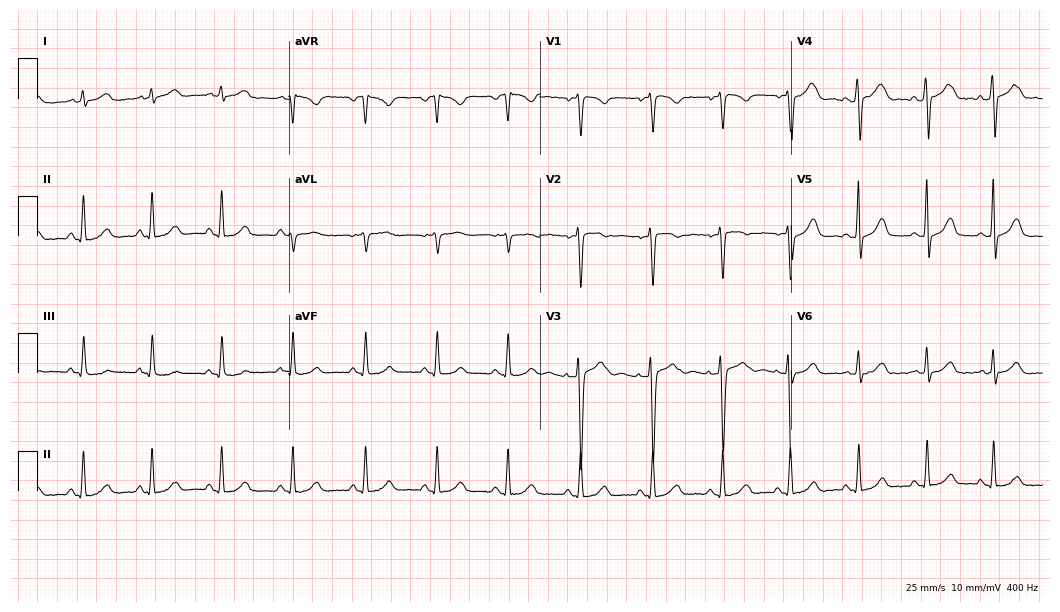
ECG (10.2-second recording at 400 Hz) — a 29-year-old female patient. Labelled as a normal ECG.